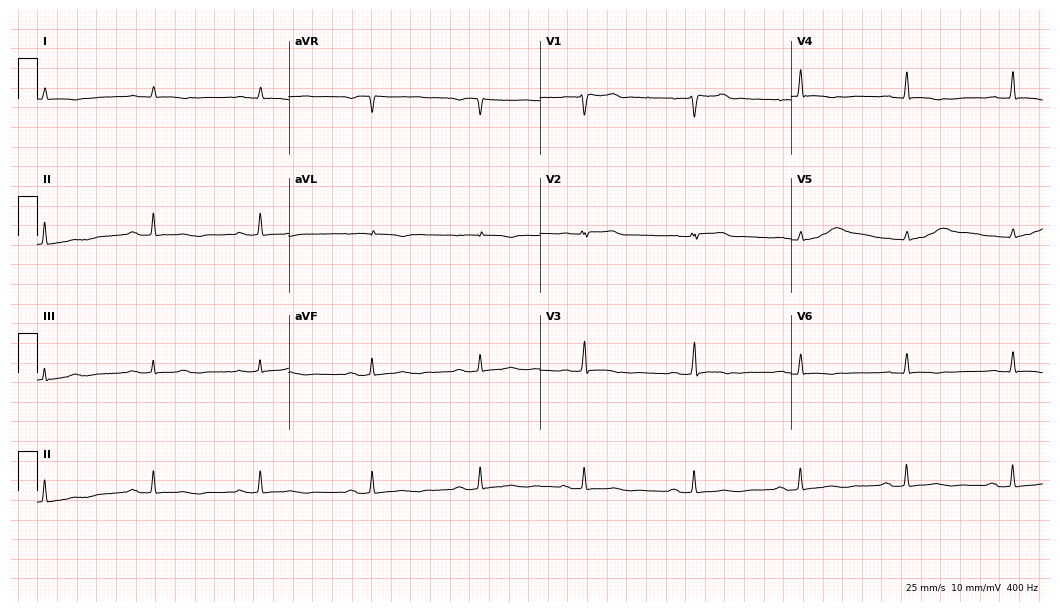
12-lead ECG from a man, 54 years old. Screened for six findings — first-degree AV block, right bundle branch block, left bundle branch block, sinus bradycardia, atrial fibrillation, sinus tachycardia — none is recorded.